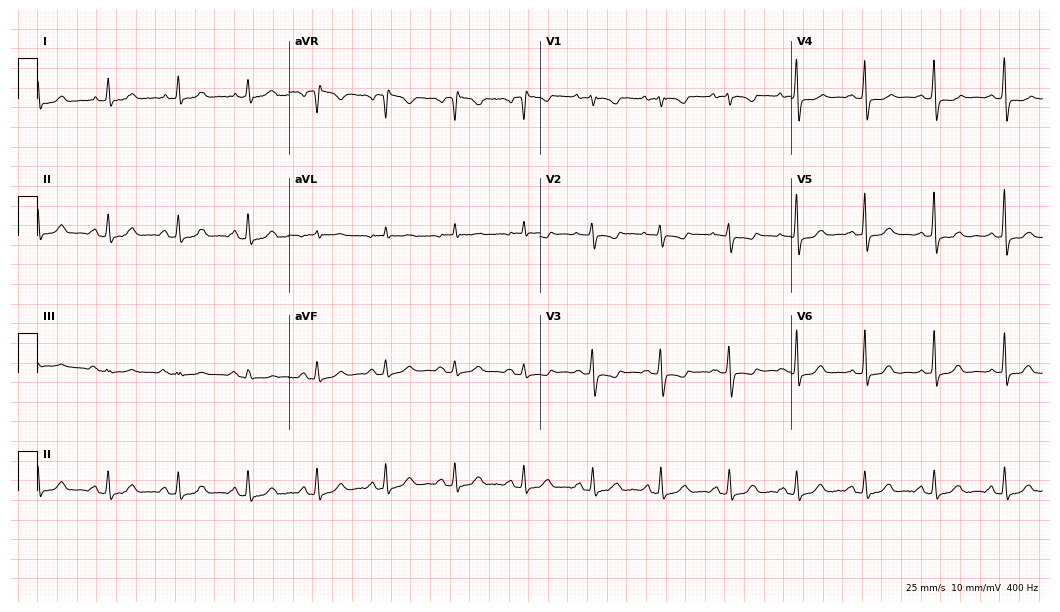
ECG (10.2-second recording at 400 Hz) — a 53-year-old female patient. Screened for six findings — first-degree AV block, right bundle branch block (RBBB), left bundle branch block (LBBB), sinus bradycardia, atrial fibrillation (AF), sinus tachycardia — none is recorded.